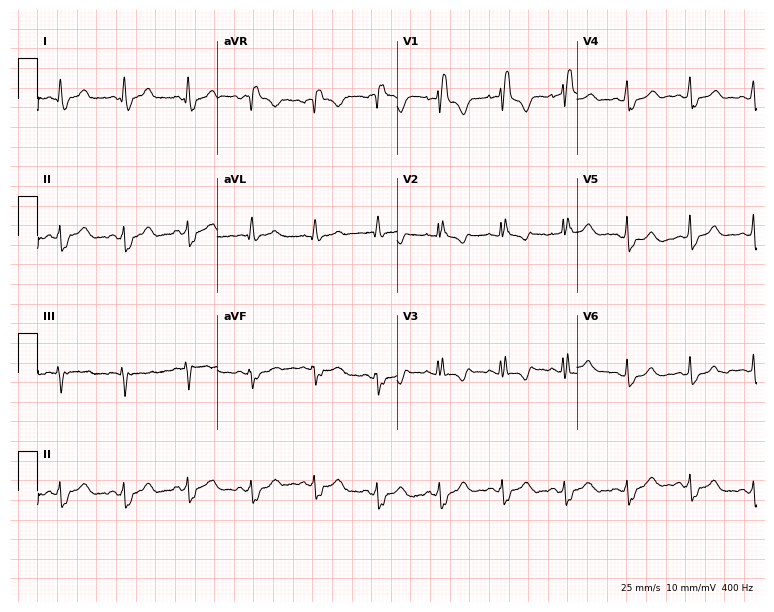
ECG (7.3-second recording at 400 Hz) — a female patient, 36 years old. Findings include right bundle branch block.